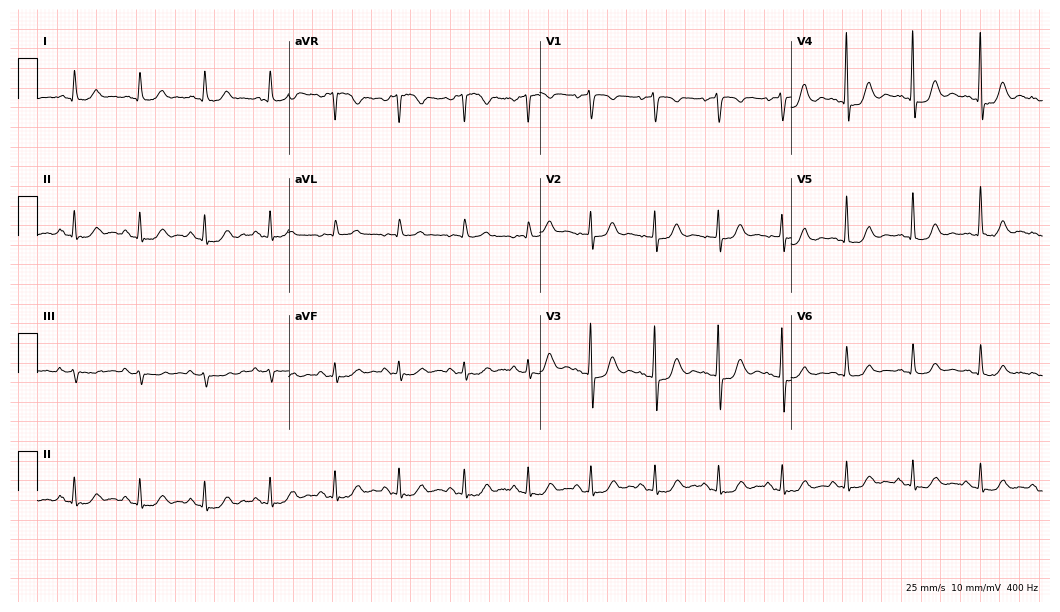
12-lead ECG from a man, 83 years old. No first-degree AV block, right bundle branch block, left bundle branch block, sinus bradycardia, atrial fibrillation or sinus tachycardia recorded for this tracing. Findings outside these six are not listed.